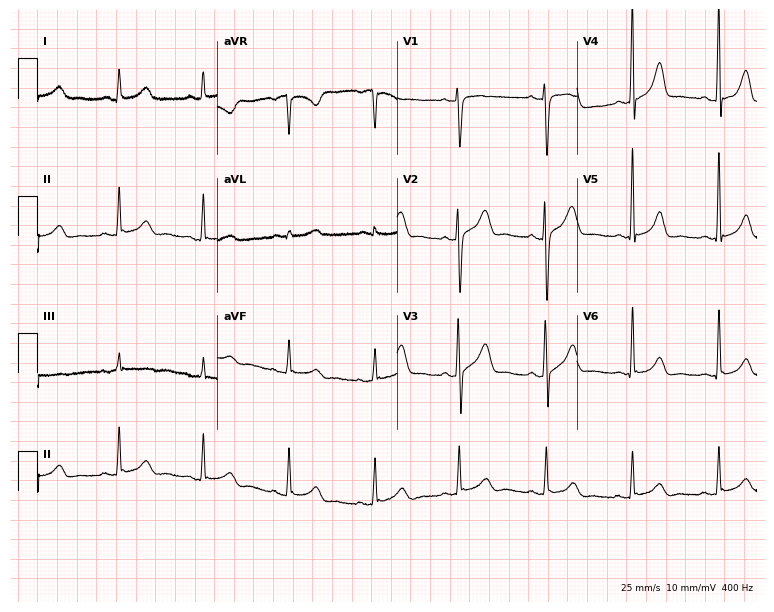
Electrocardiogram, a male patient, 43 years old. Overall reading on record: normal ECG.